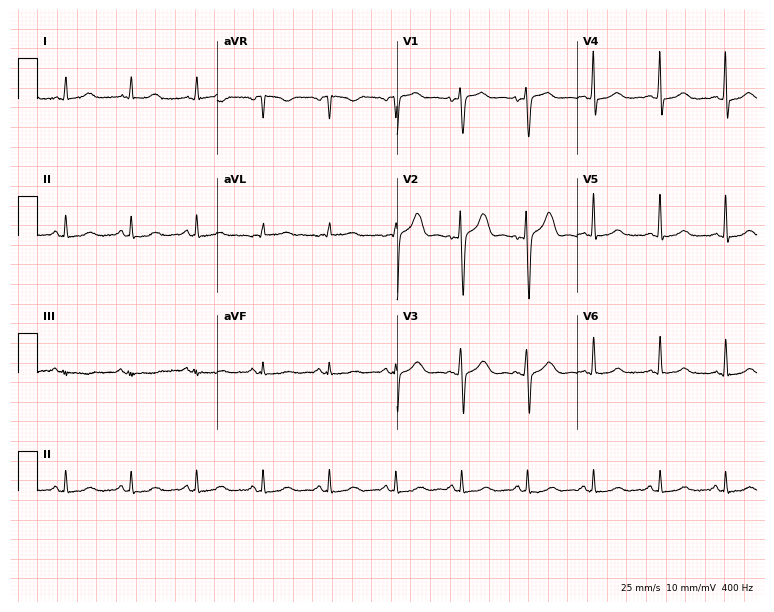
12-lead ECG (7.3-second recording at 400 Hz) from a 55-year-old woman. Labelled as a normal ECG.